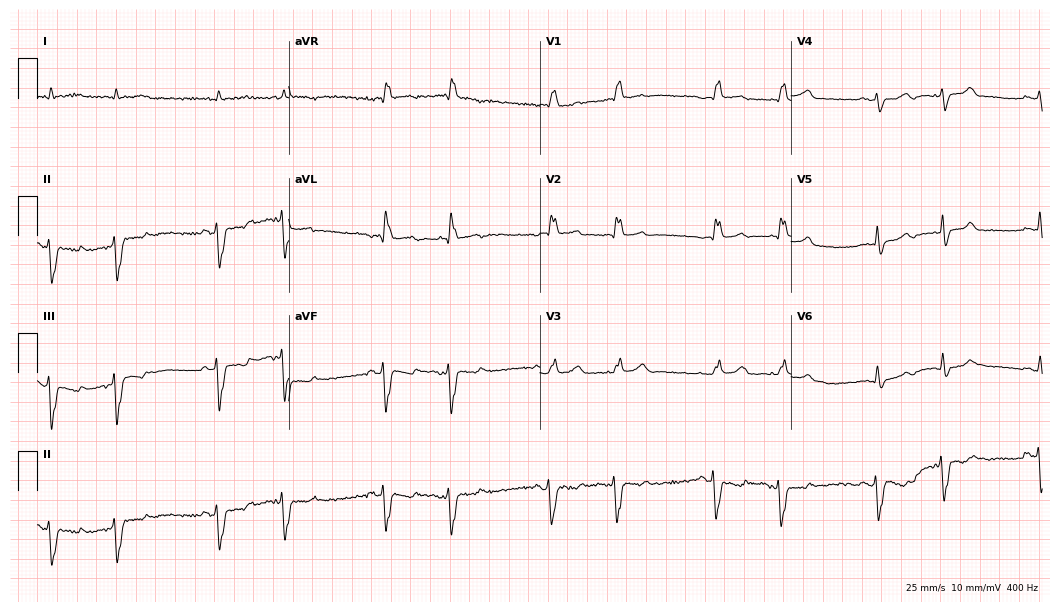
Resting 12-lead electrocardiogram (10.2-second recording at 400 Hz). Patient: a 73-year-old man. The tracing shows right bundle branch block, atrial fibrillation.